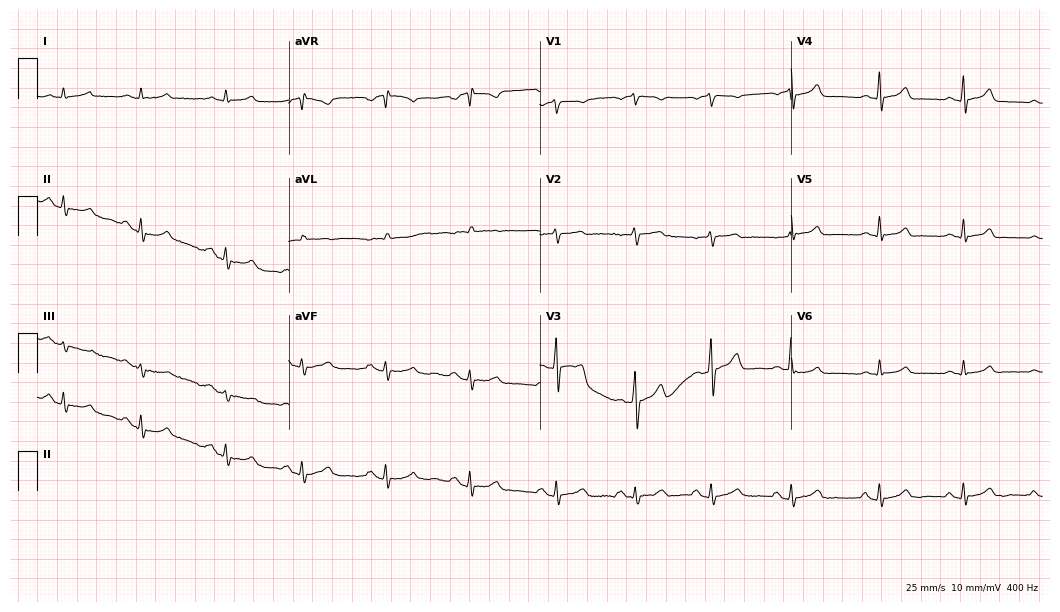
12-lead ECG from a 37-year-old female. Screened for six findings — first-degree AV block, right bundle branch block, left bundle branch block, sinus bradycardia, atrial fibrillation, sinus tachycardia — none is recorded.